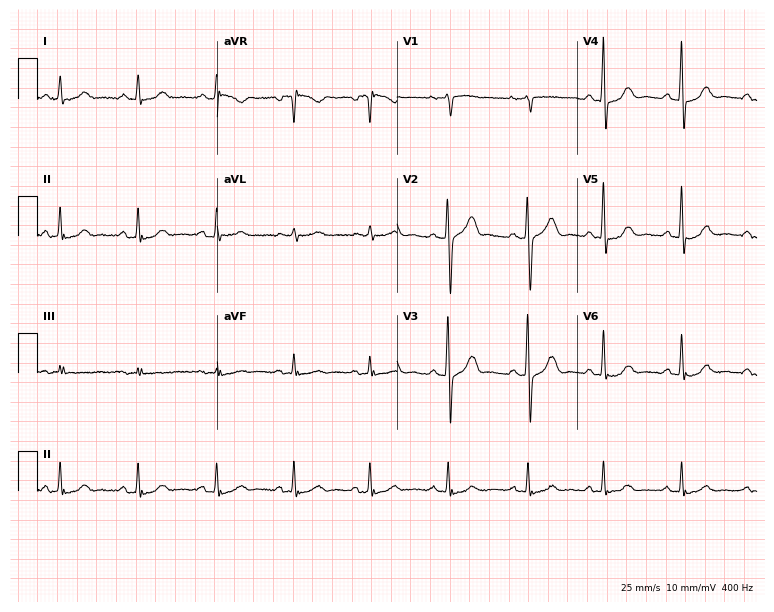
Resting 12-lead electrocardiogram (7.3-second recording at 400 Hz). Patient: a 69-year-old woman. Read as a normal ECG.